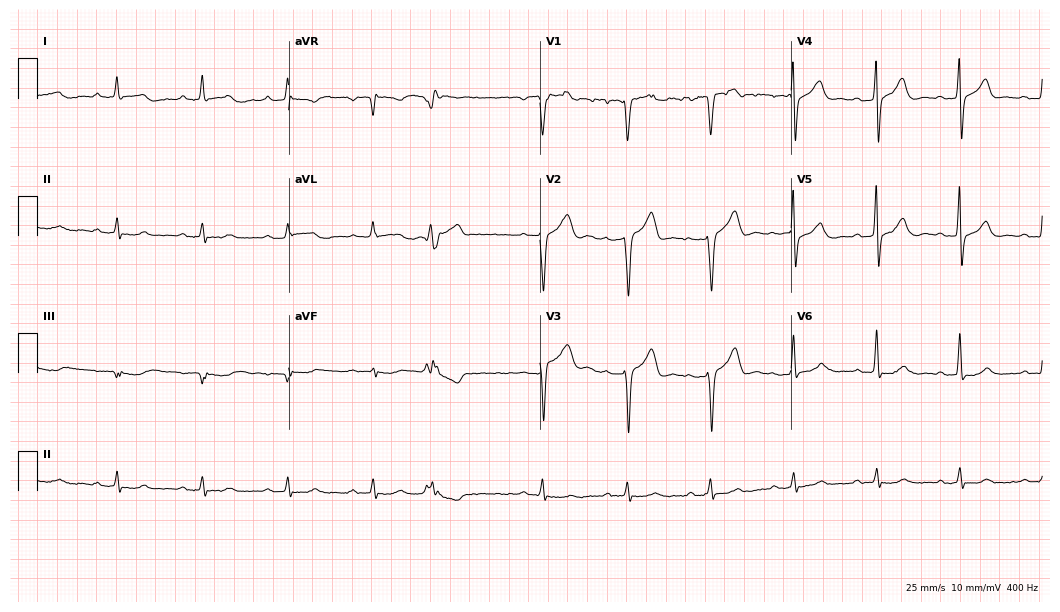
Electrocardiogram (10.2-second recording at 400 Hz), a woman, 85 years old. Overall reading on record: normal ECG.